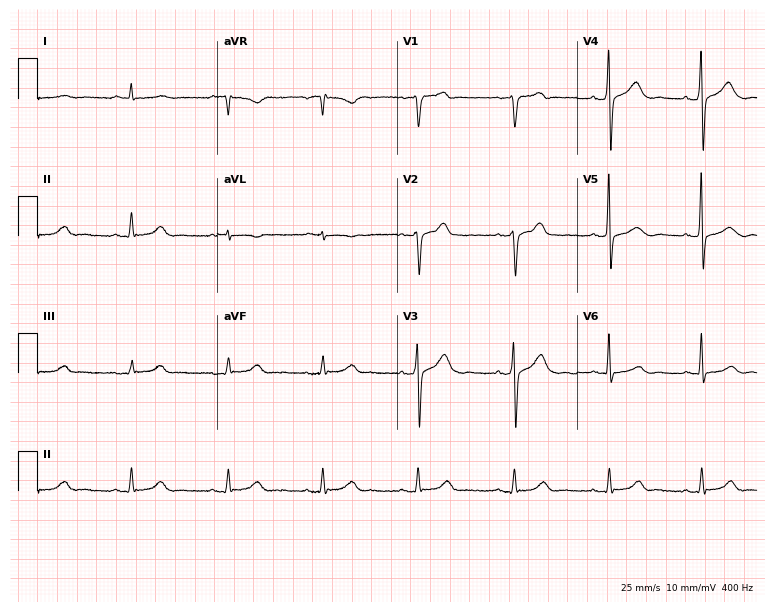
Electrocardiogram (7.3-second recording at 400 Hz), a 71-year-old man. Overall reading on record: normal ECG.